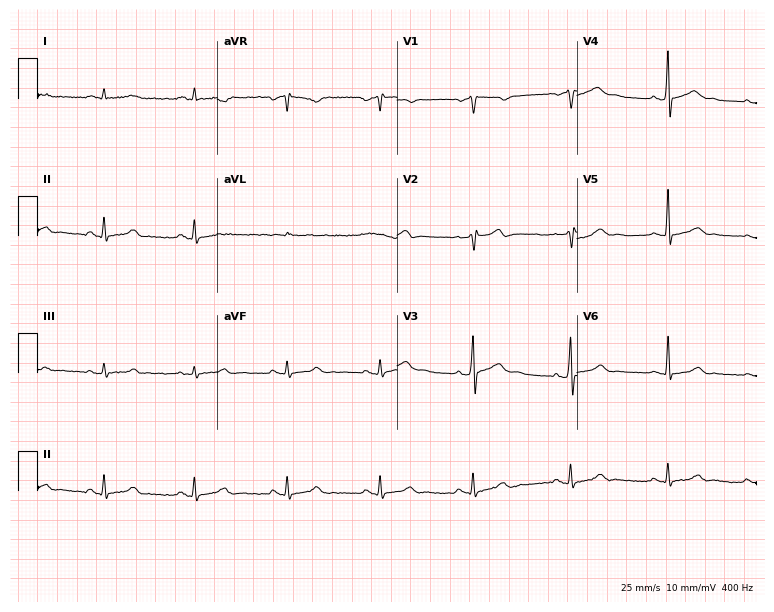
ECG (7.3-second recording at 400 Hz) — a male, 55 years old. Screened for six findings — first-degree AV block, right bundle branch block, left bundle branch block, sinus bradycardia, atrial fibrillation, sinus tachycardia — none is recorded.